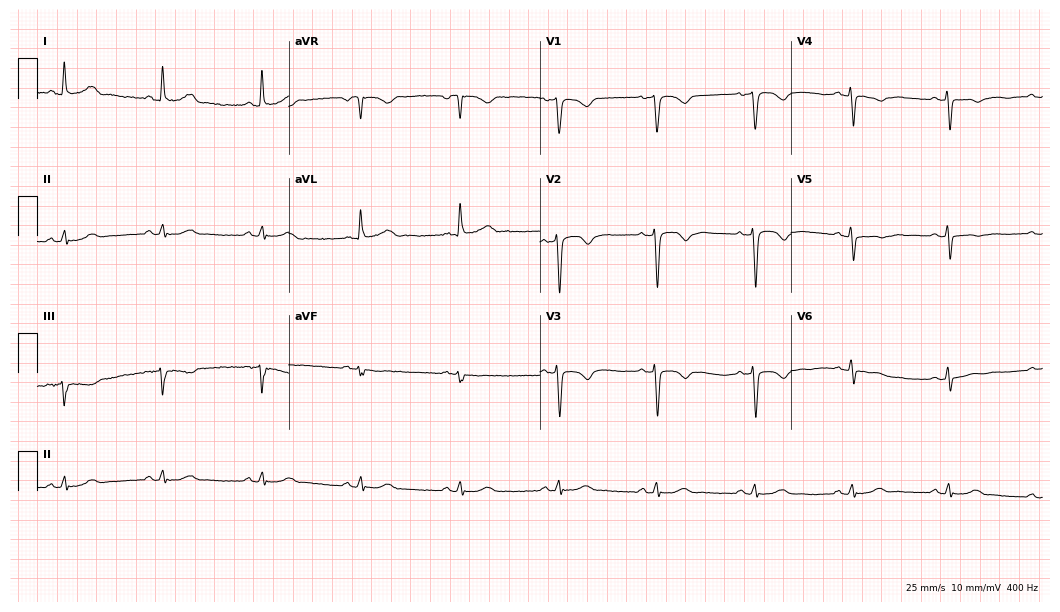
Resting 12-lead electrocardiogram. Patient: a woman, 55 years old. None of these six findings is recorded: first-degree AV block, right bundle branch block, left bundle branch block, sinus bradycardia, atrial fibrillation, sinus tachycardia.